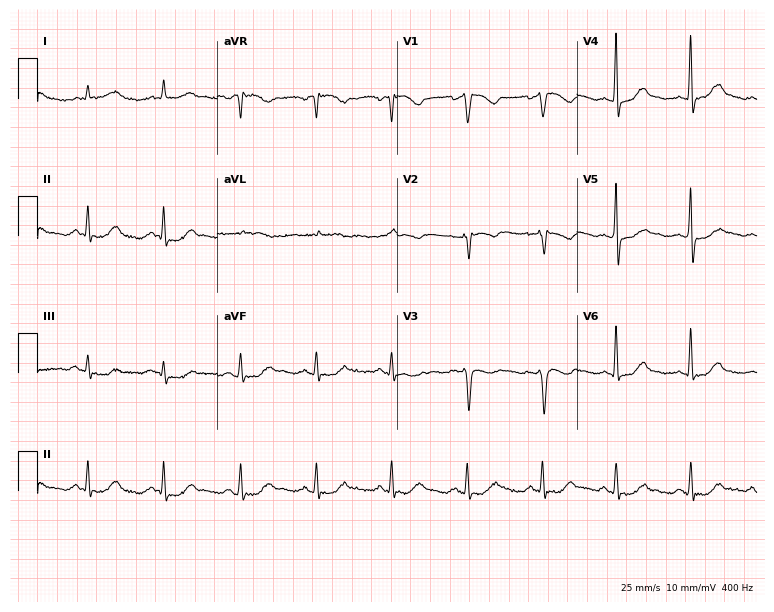
12-lead ECG from a female patient, 39 years old. No first-degree AV block, right bundle branch block, left bundle branch block, sinus bradycardia, atrial fibrillation or sinus tachycardia recorded for this tracing.